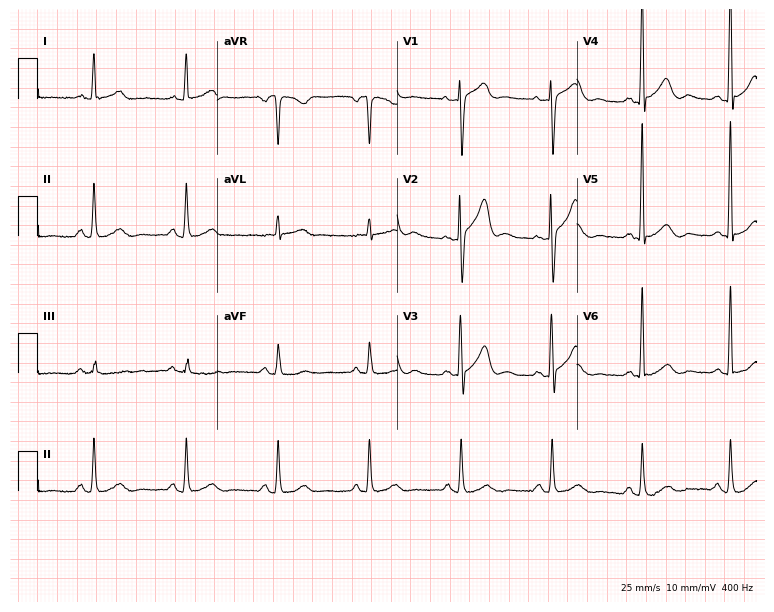
Electrocardiogram (7.3-second recording at 400 Hz), a male patient, 75 years old. Overall reading on record: normal ECG.